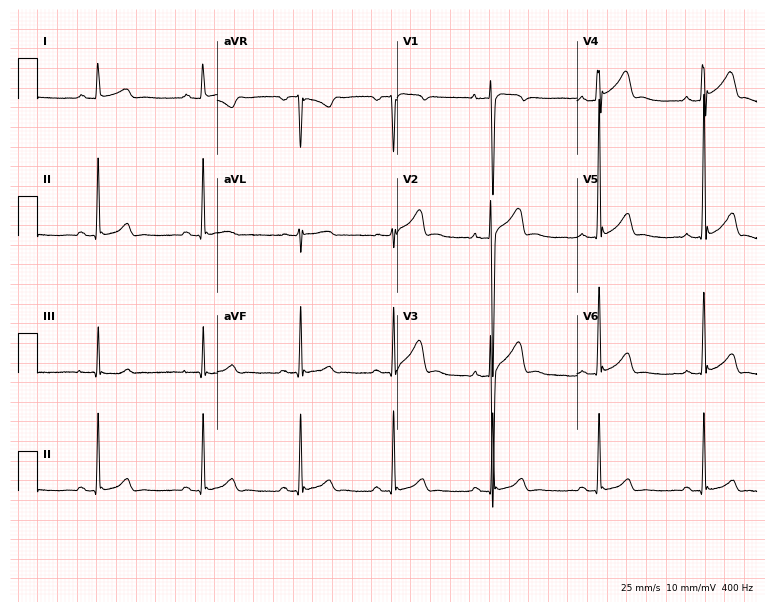
12-lead ECG (7.3-second recording at 400 Hz) from a male patient, 27 years old. Labelled as a normal ECG.